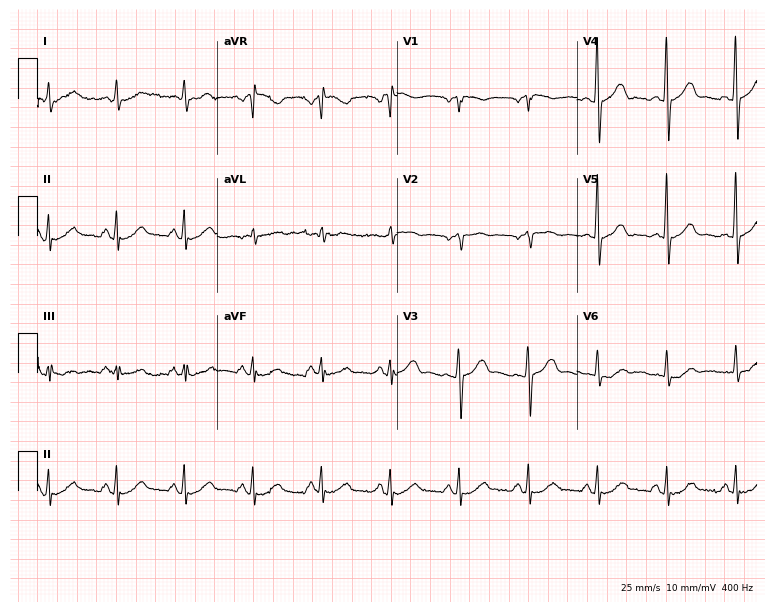
ECG — a man, 68 years old. Labelled as a normal ECG.